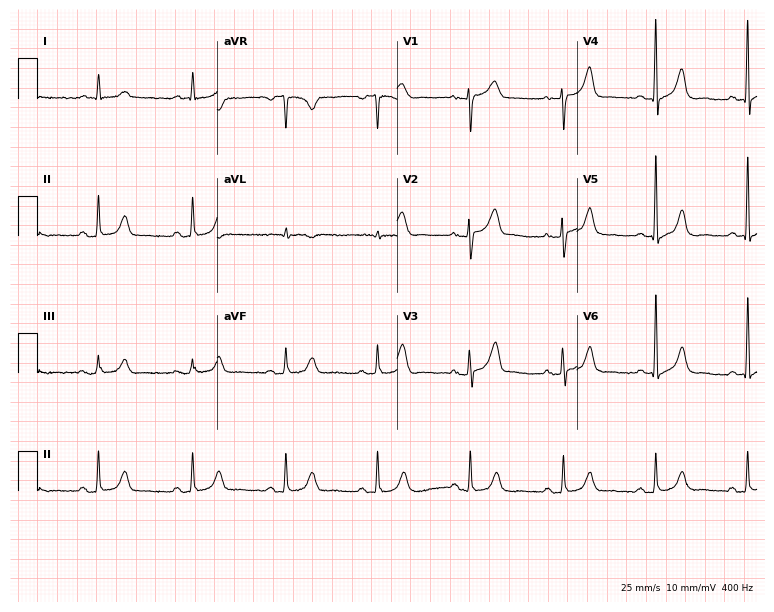
Standard 12-lead ECG recorded from an 84-year-old male patient. Read as a normal ECG.